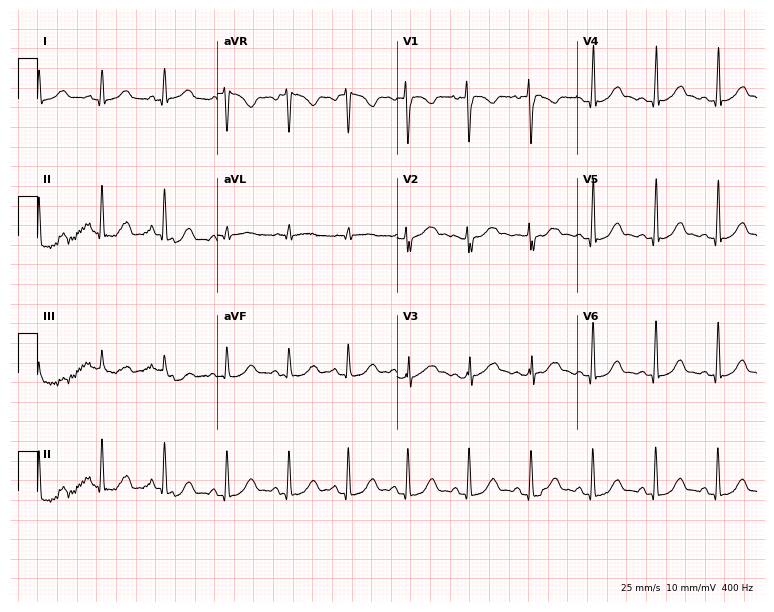
12-lead ECG from a female, 33 years old (7.3-second recording at 400 Hz). No first-degree AV block, right bundle branch block, left bundle branch block, sinus bradycardia, atrial fibrillation or sinus tachycardia recorded for this tracing. Other findings, if any, are not listed.